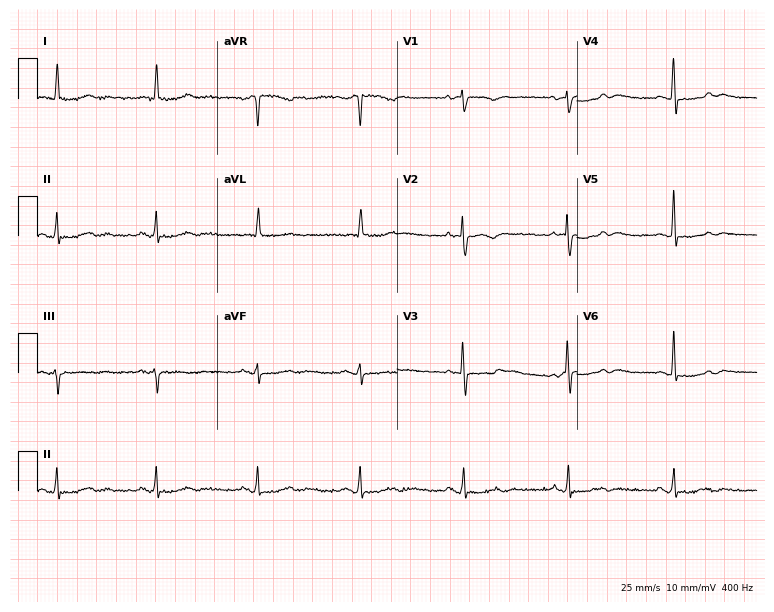
Electrocardiogram (7.3-second recording at 400 Hz), a 59-year-old woman. Of the six screened findings (first-degree AV block, right bundle branch block, left bundle branch block, sinus bradycardia, atrial fibrillation, sinus tachycardia), none is recorded.